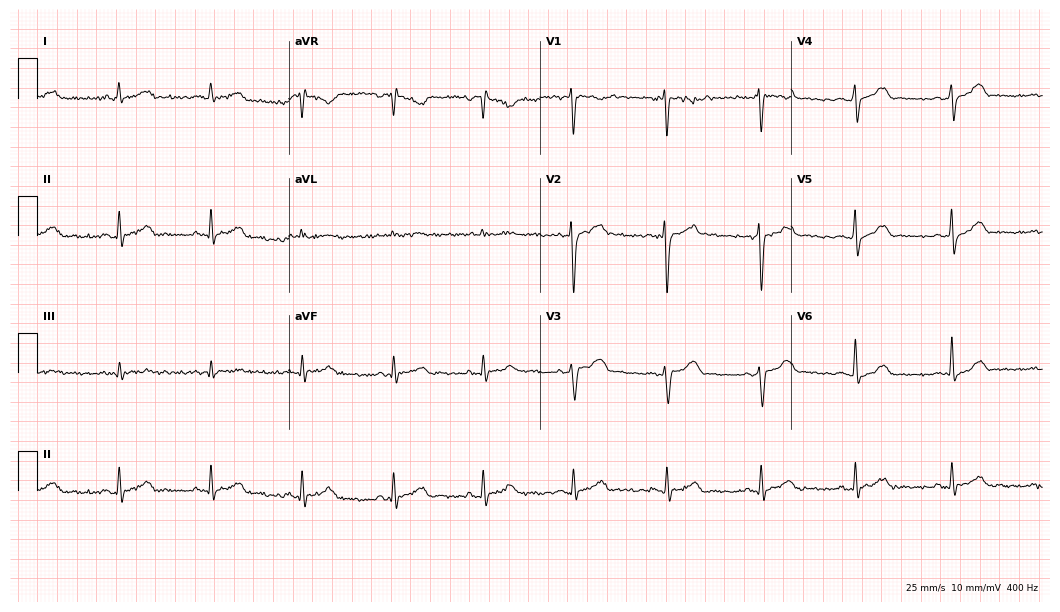
12-lead ECG from a 41-year-old male. Labelled as a normal ECG.